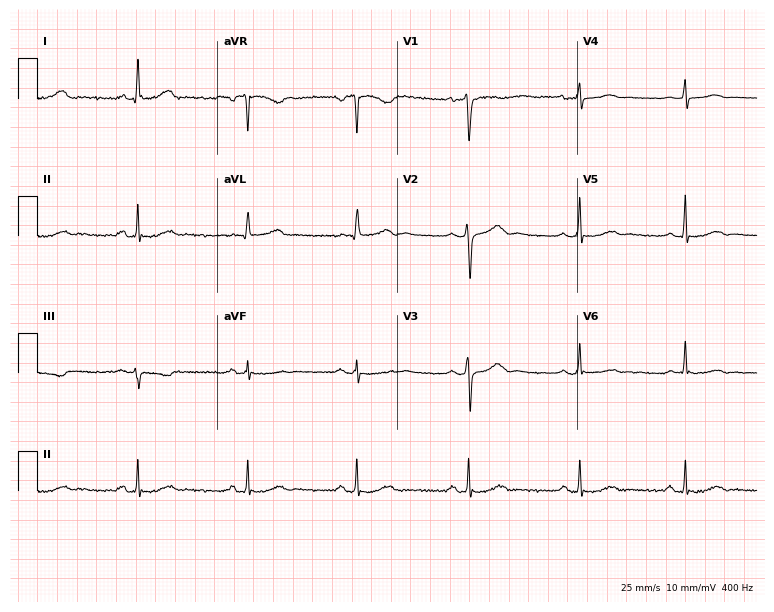
12-lead ECG (7.3-second recording at 400 Hz) from a woman, 59 years old. Screened for six findings — first-degree AV block, right bundle branch block, left bundle branch block, sinus bradycardia, atrial fibrillation, sinus tachycardia — none is recorded. Findings outside these six are not listed.